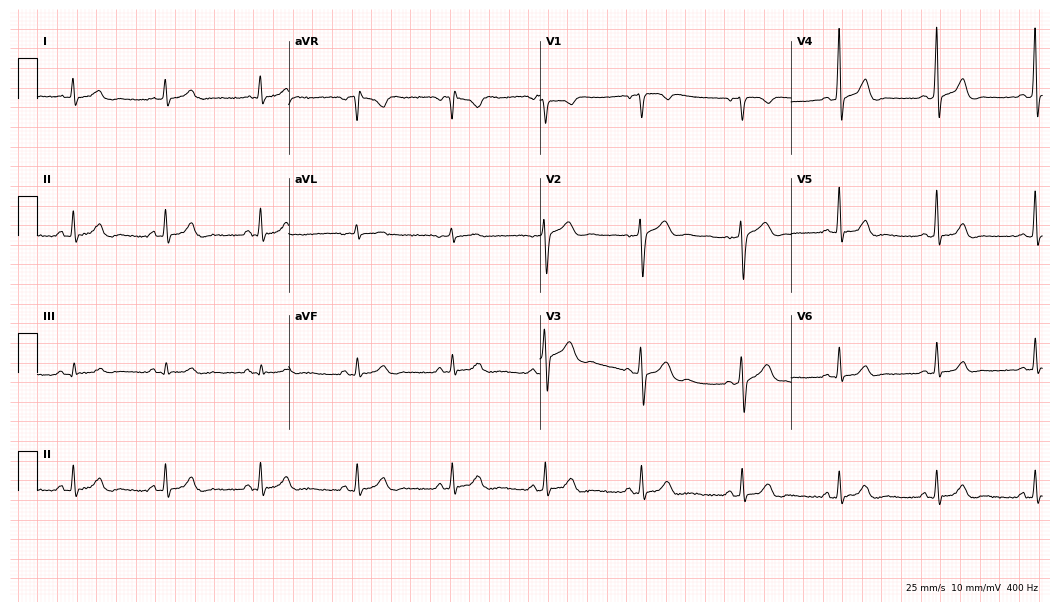
Resting 12-lead electrocardiogram. Patient: a 32-year-old man. Read as a normal ECG.